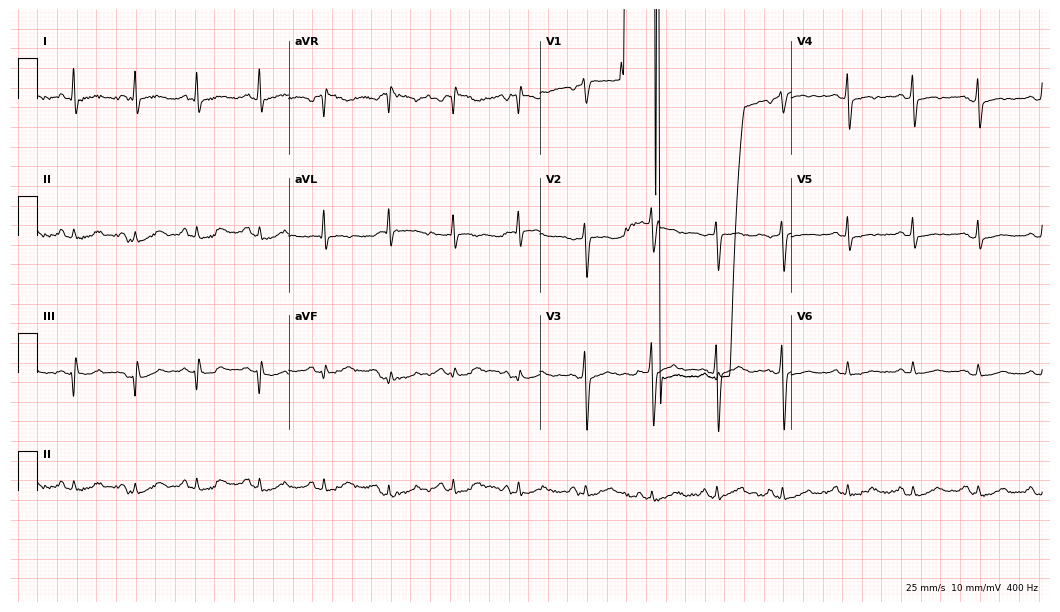
Electrocardiogram, a woman, 57 years old. Of the six screened findings (first-degree AV block, right bundle branch block (RBBB), left bundle branch block (LBBB), sinus bradycardia, atrial fibrillation (AF), sinus tachycardia), none is recorded.